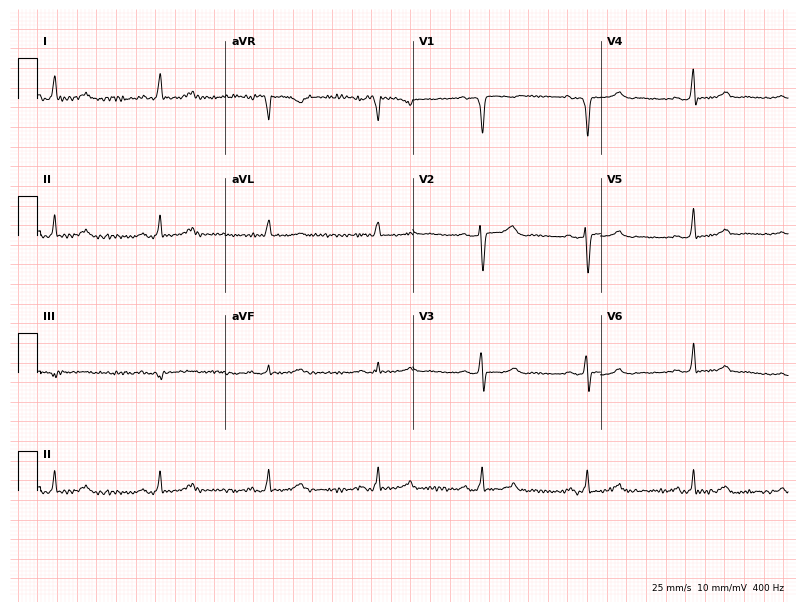
Resting 12-lead electrocardiogram. Patient: a woman, 63 years old. Read as a normal ECG.